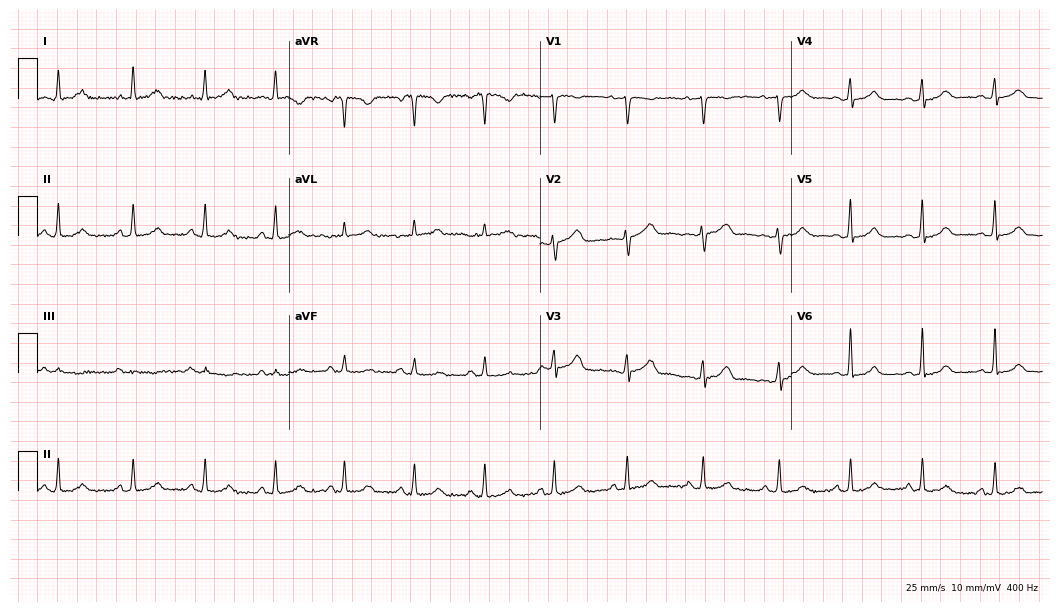
Resting 12-lead electrocardiogram. Patient: a 43-year-old female. Read as a normal ECG.